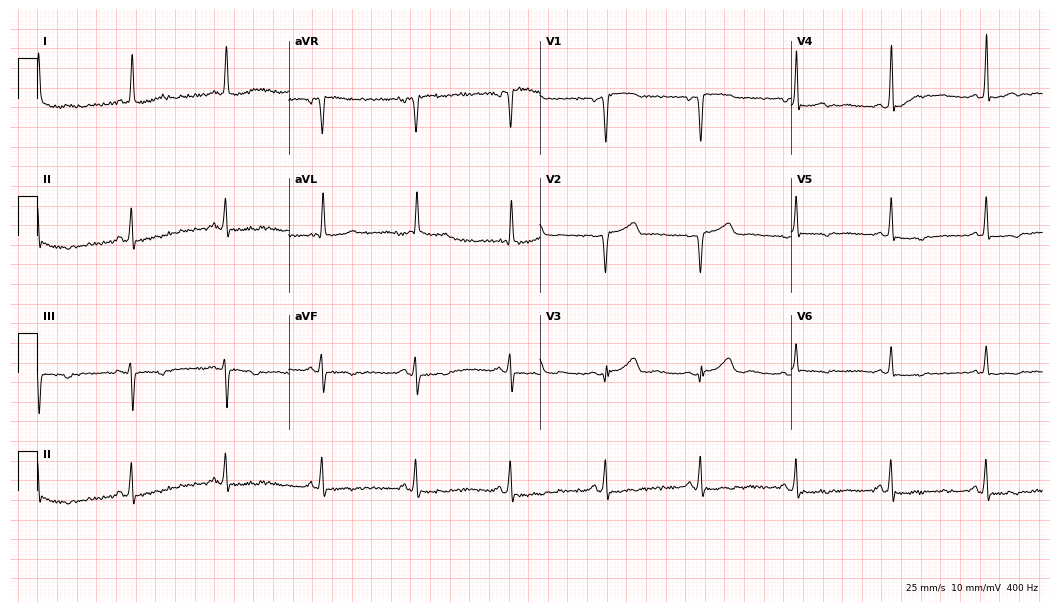
Electrocardiogram (10.2-second recording at 400 Hz), a female patient, 60 years old. Overall reading on record: normal ECG.